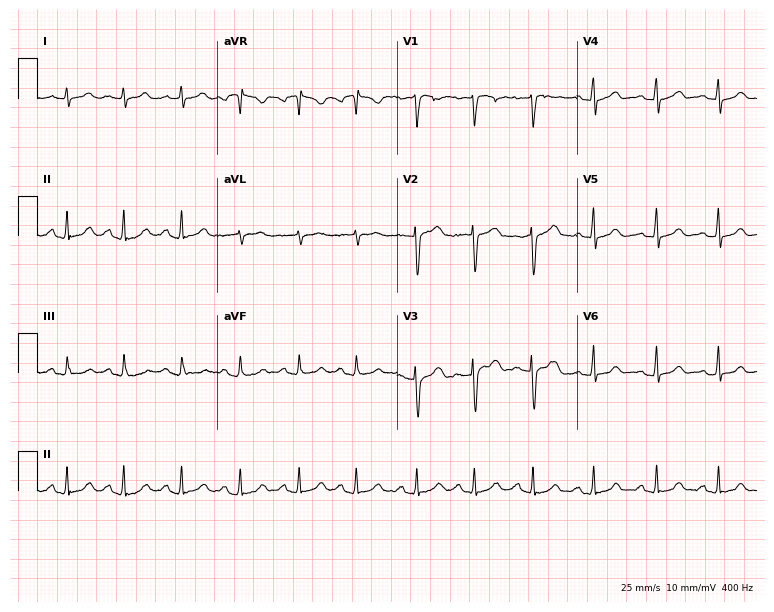
Electrocardiogram, a female, 39 years old. Of the six screened findings (first-degree AV block, right bundle branch block, left bundle branch block, sinus bradycardia, atrial fibrillation, sinus tachycardia), none is recorded.